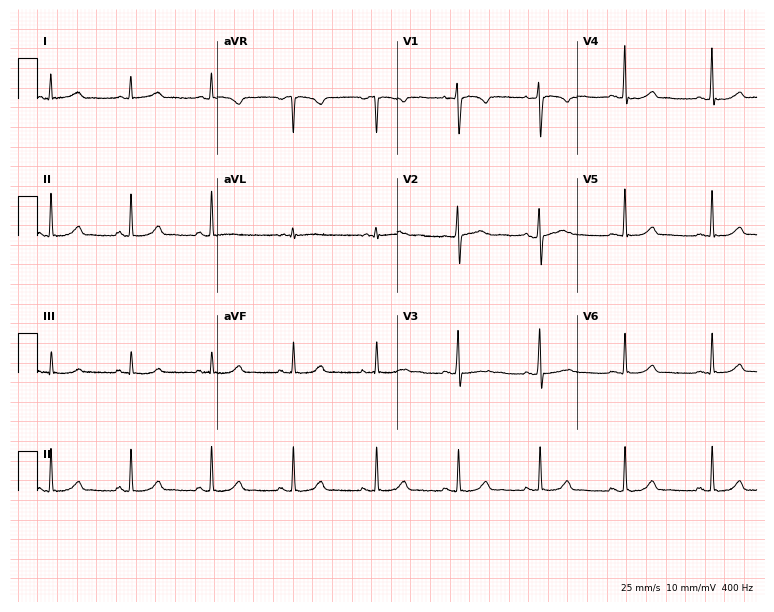
Resting 12-lead electrocardiogram (7.3-second recording at 400 Hz). Patient: a 31-year-old female. Read as a normal ECG.